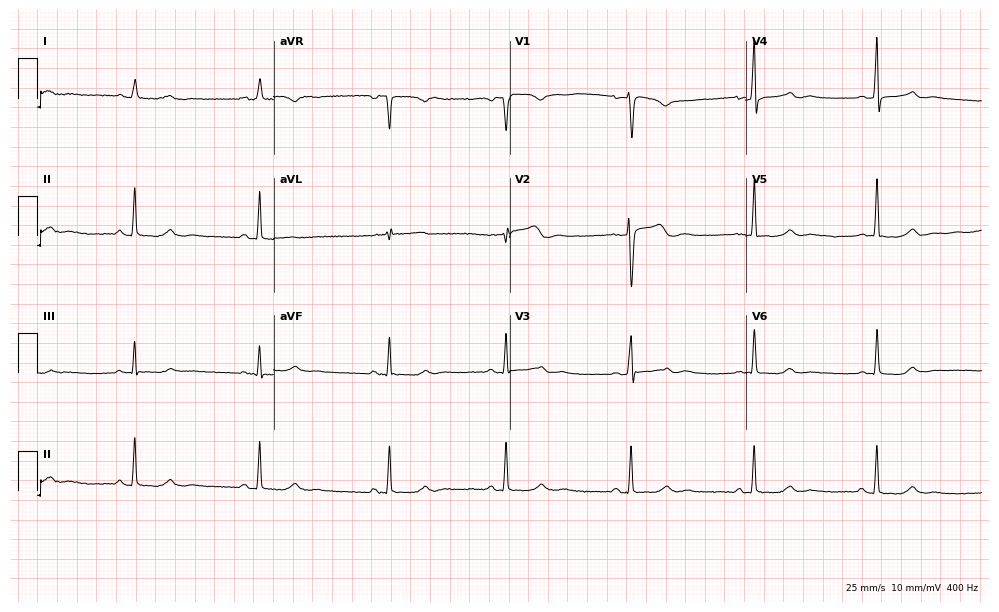
12-lead ECG from a woman, 39 years old (9.6-second recording at 400 Hz). Shows sinus bradycardia (a sinus rate of 50 beats per minute or less).